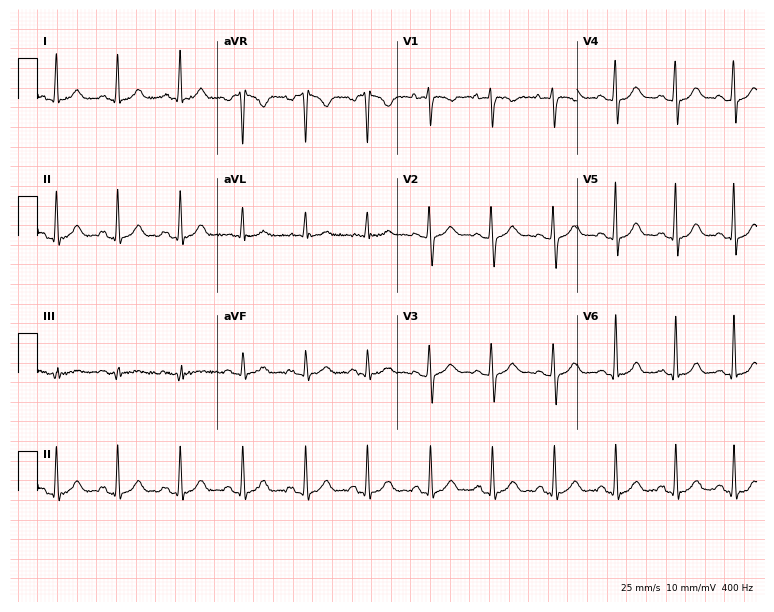
12-lead ECG from a female patient, 33 years old. Labelled as a normal ECG.